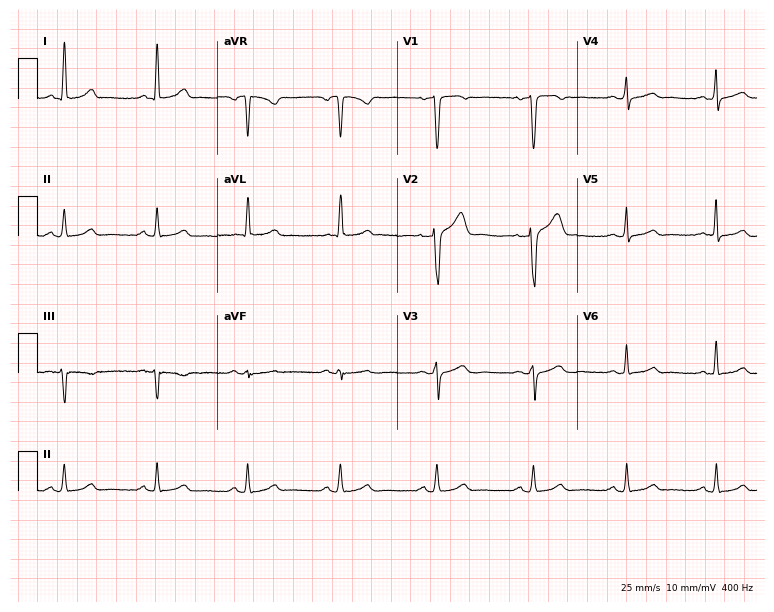
Standard 12-lead ECG recorded from a female, 52 years old (7.3-second recording at 400 Hz). Read as a normal ECG.